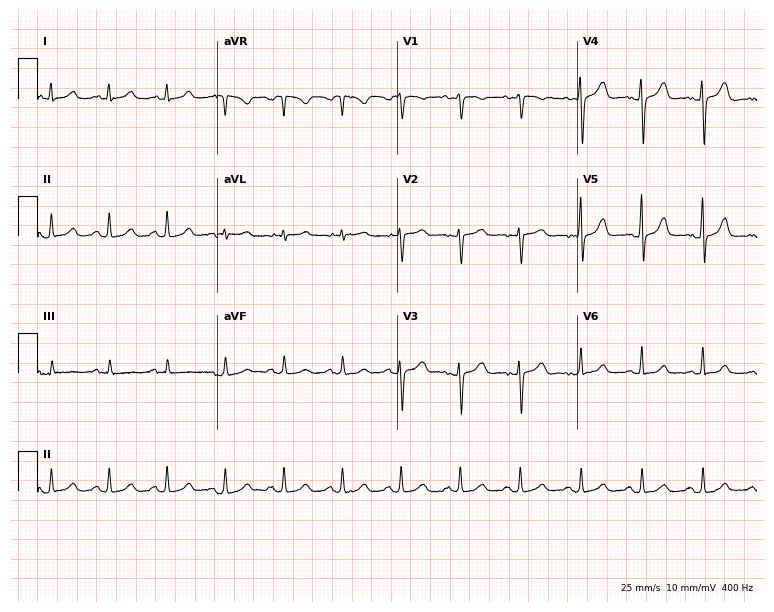
ECG — a female patient, 32 years old. Labelled as a normal ECG.